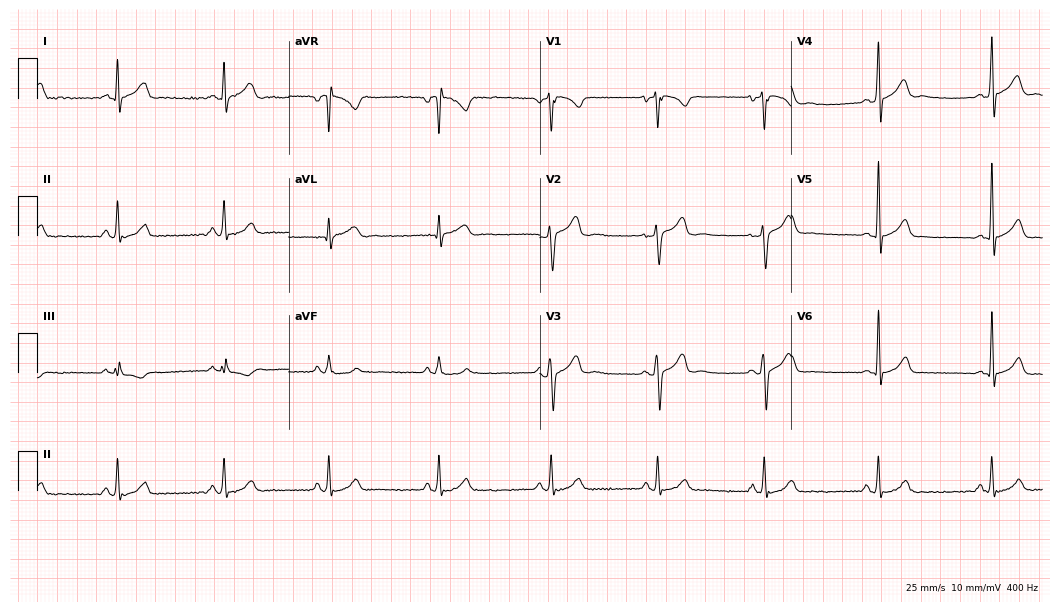
12-lead ECG from a 25-year-old male patient (10.2-second recording at 400 Hz). Recorded interpretation: within normal limits.